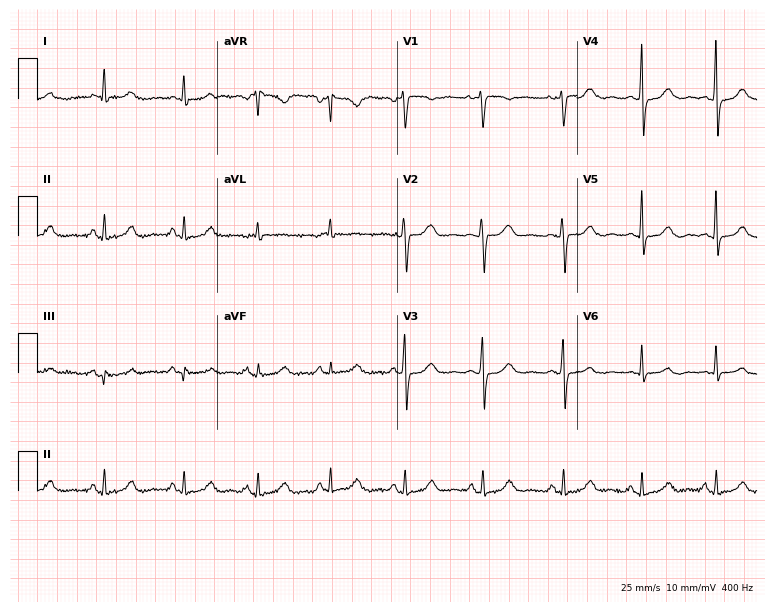
Standard 12-lead ECG recorded from a 41-year-old woman. None of these six findings is recorded: first-degree AV block, right bundle branch block (RBBB), left bundle branch block (LBBB), sinus bradycardia, atrial fibrillation (AF), sinus tachycardia. Only these six findings were labelled.